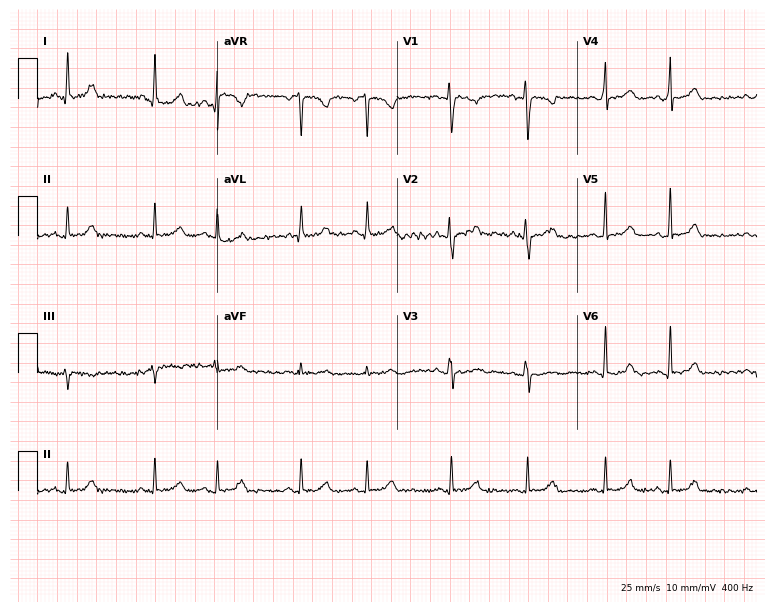
ECG (7.3-second recording at 400 Hz) — a female, 25 years old. Screened for six findings — first-degree AV block, right bundle branch block (RBBB), left bundle branch block (LBBB), sinus bradycardia, atrial fibrillation (AF), sinus tachycardia — none is recorded. Findings outside these six are not listed.